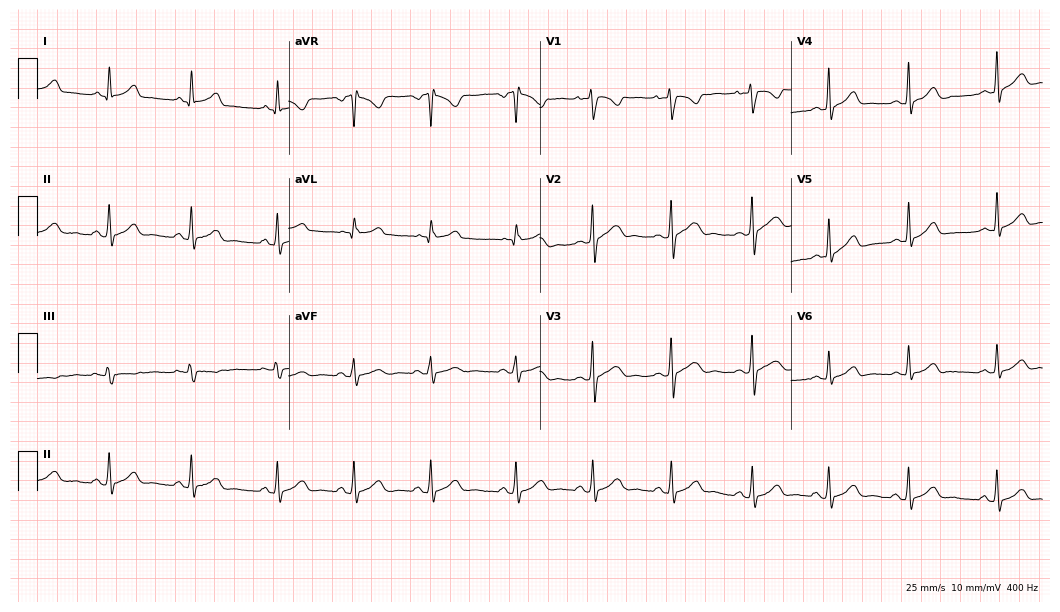
Resting 12-lead electrocardiogram (10.2-second recording at 400 Hz). Patient: a woman, 26 years old. Read as a normal ECG.